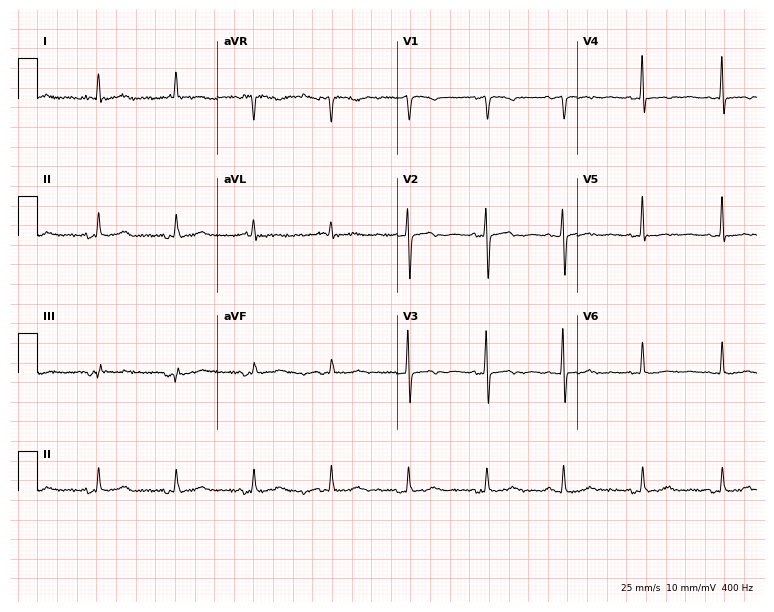
Standard 12-lead ECG recorded from a 78-year-old female (7.3-second recording at 400 Hz). None of these six findings is recorded: first-degree AV block, right bundle branch block, left bundle branch block, sinus bradycardia, atrial fibrillation, sinus tachycardia. Findings outside these six are not listed.